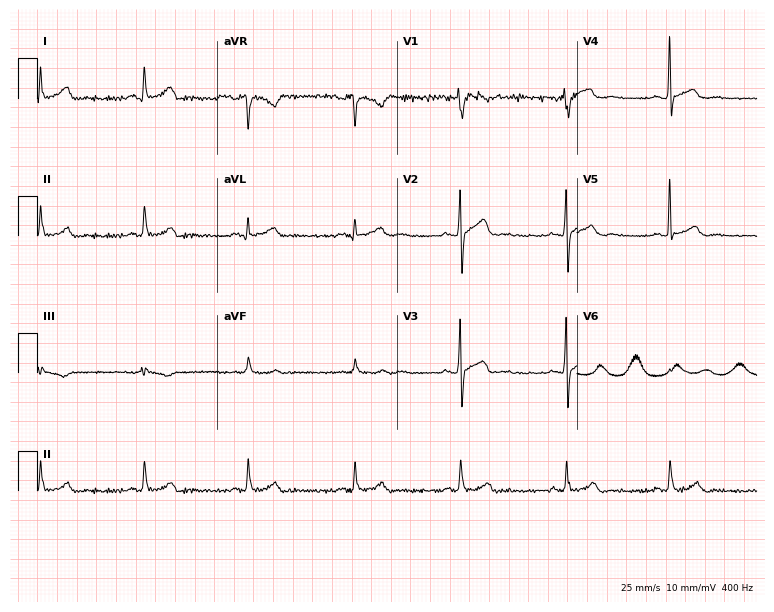
Standard 12-lead ECG recorded from a male patient, 28 years old (7.3-second recording at 400 Hz). None of these six findings is recorded: first-degree AV block, right bundle branch block, left bundle branch block, sinus bradycardia, atrial fibrillation, sinus tachycardia.